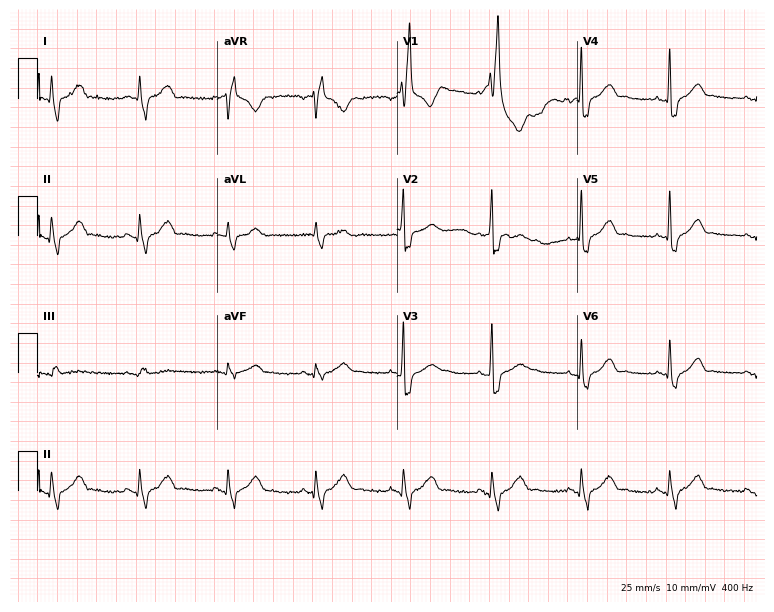
Standard 12-lead ECG recorded from a 71-year-old man (7.3-second recording at 400 Hz). The tracing shows right bundle branch block (RBBB).